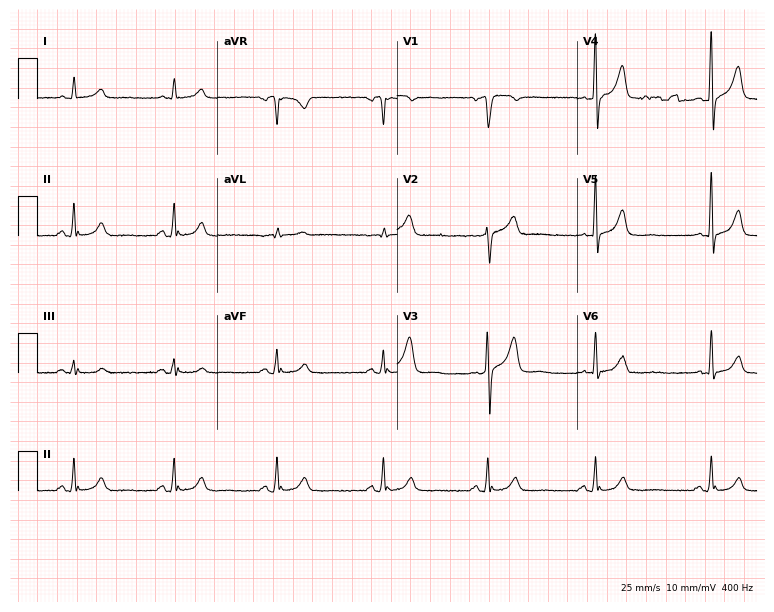
Electrocardiogram, a man, 43 years old. Overall reading on record: normal ECG.